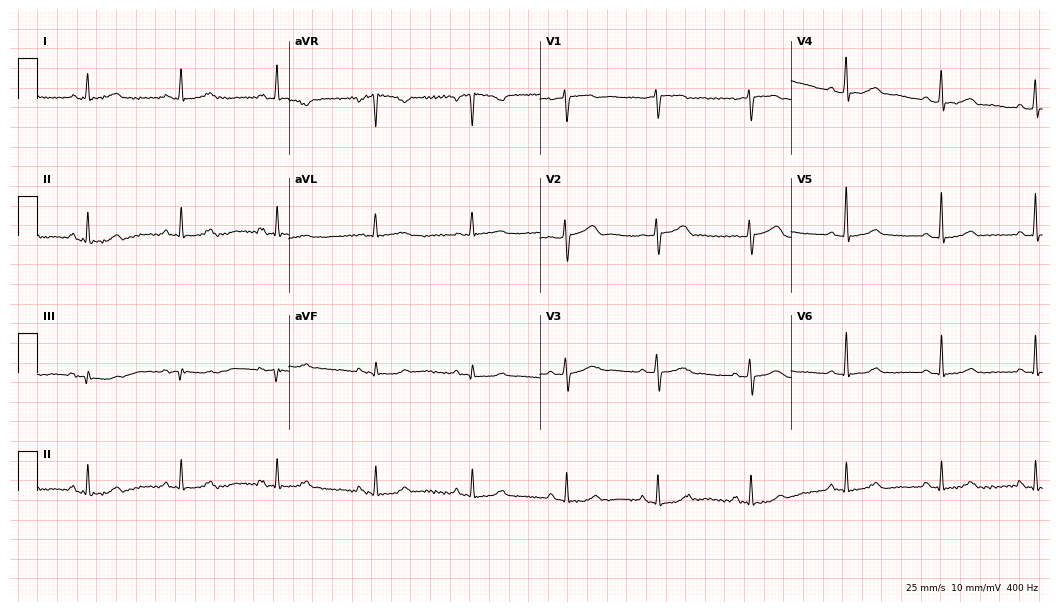
12-lead ECG from a 51-year-old female (10.2-second recording at 400 Hz). Recorded interpretation: within normal limits.